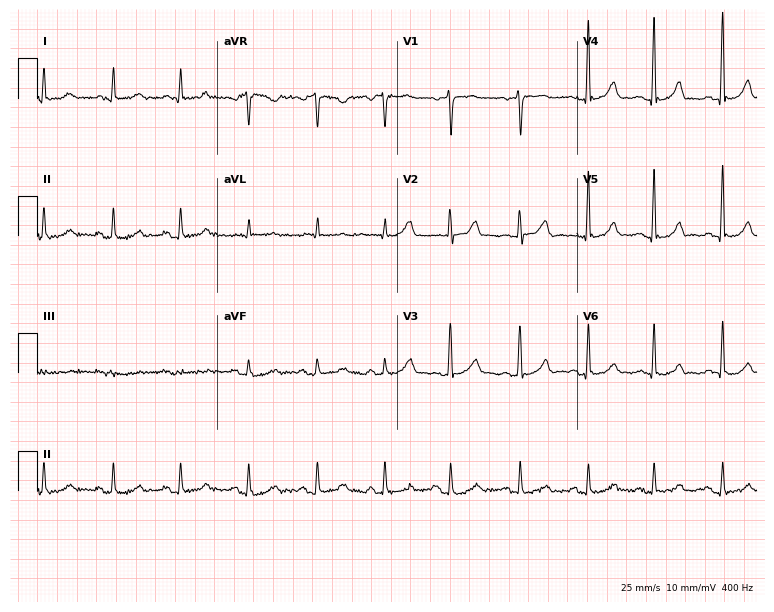
12-lead ECG (7.3-second recording at 400 Hz) from a 51-year-old female. Labelled as a normal ECG.